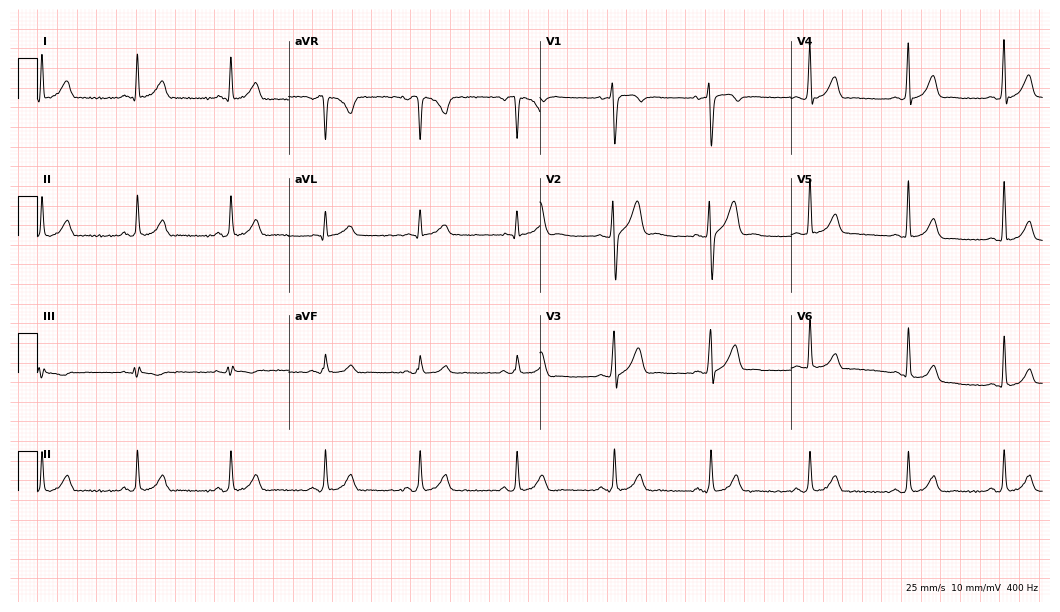
Standard 12-lead ECG recorded from a 37-year-old man (10.2-second recording at 400 Hz). Read as a normal ECG.